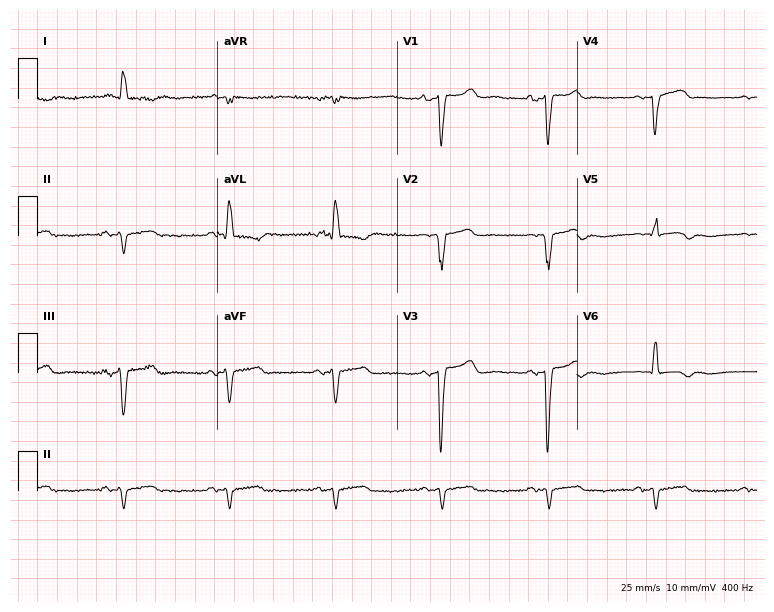
Standard 12-lead ECG recorded from a woman, 78 years old (7.3-second recording at 400 Hz). None of these six findings is recorded: first-degree AV block, right bundle branch block, left bundle branch block, sinus bradycardia, atrial fibrillation, sinus tachycardia. Findings outside these six are not listed.